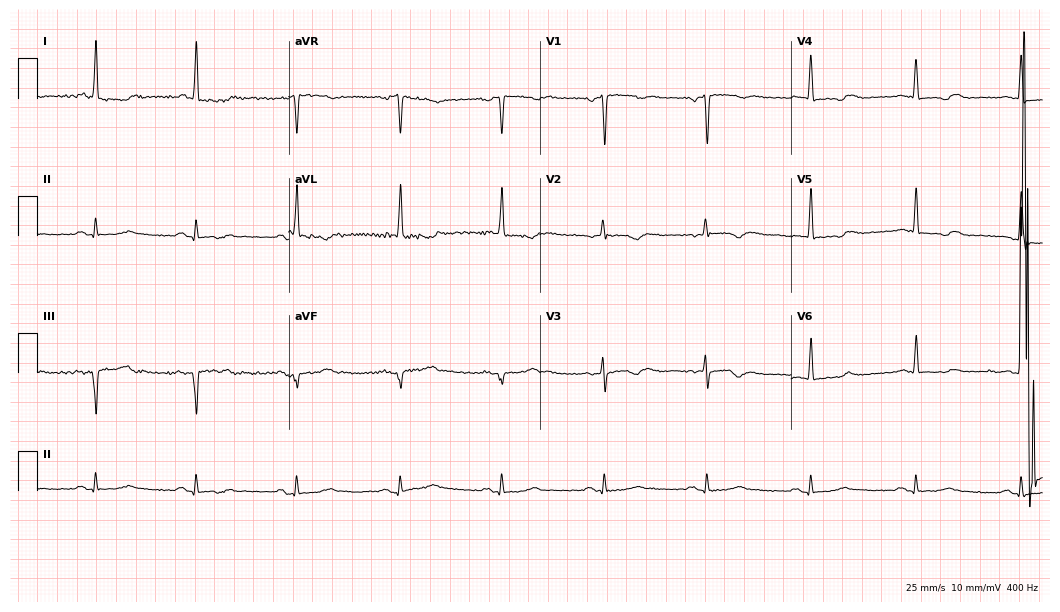
12-lead ECG from a woman, 69 years old. Screened for six findings — first-degree AV block, right bundle branch block, left bundle branch block, sinus bradycardia, atrial fibrillation, sinus tachycardia — none is recorded.